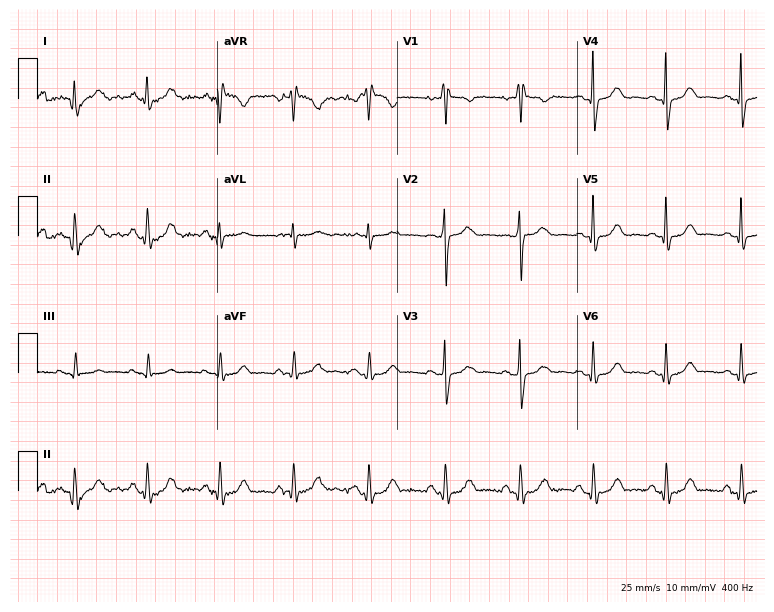
Standard 12-lead ECG recorded from a 50-year-old male patient (7.3-second recording at 400 Hz). None of these six findings is recorded: first-degree AV block, right bundle branch block (RBBB), left bundle branch block (LBBB), sinus bradycardia, atrial fibrillation (AF), sinus tachycardia. Other findings, if any, are not listed.